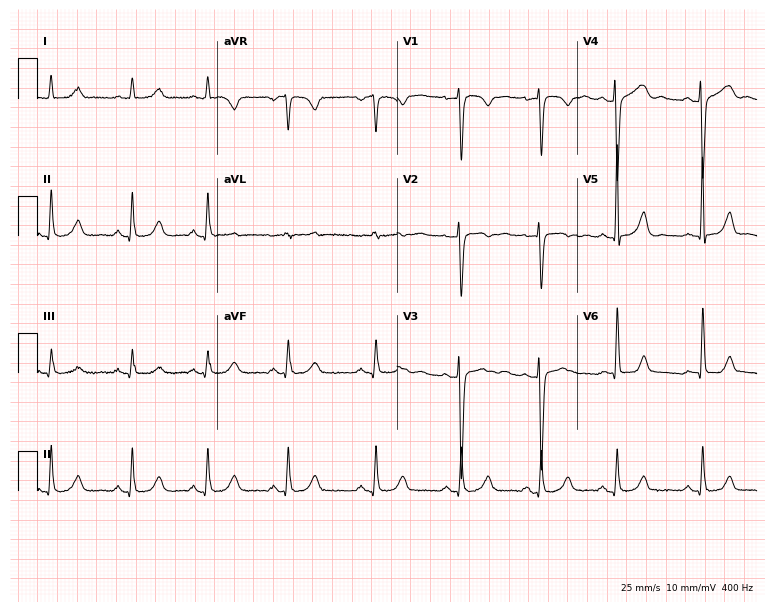
12-lead ECG from a 39-year-old female patient. Labelled as a normal ECG.